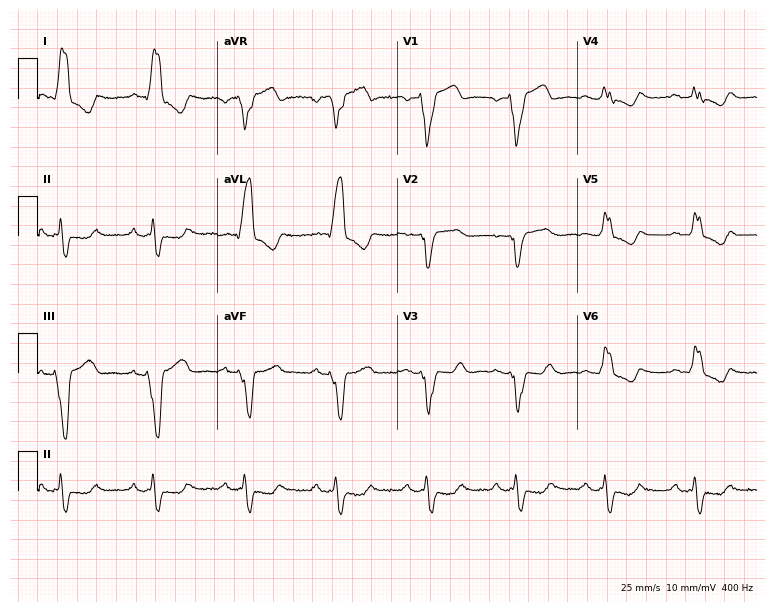
Electrocardiogram, a 65-year-old woman. Interpretation includes left bundle branch block.